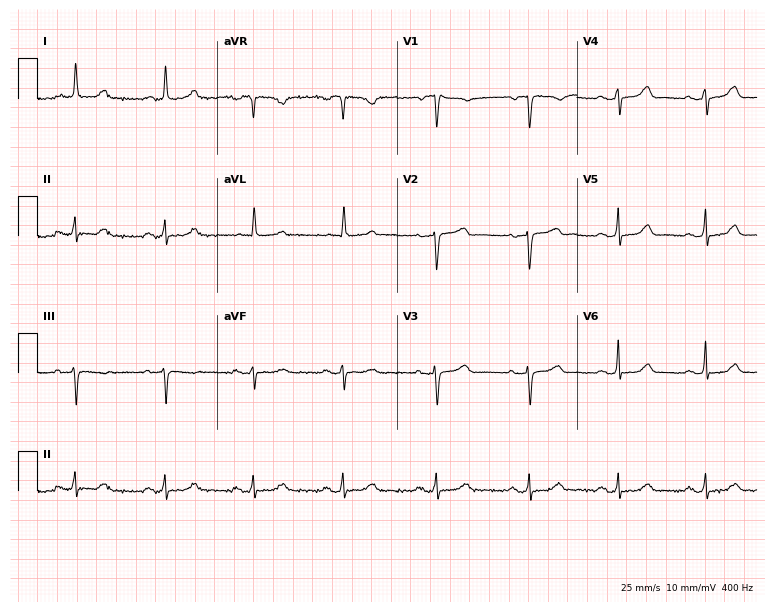
Electrocardiogram, a 68-year-old female. Overall reading on record: normal ECG.